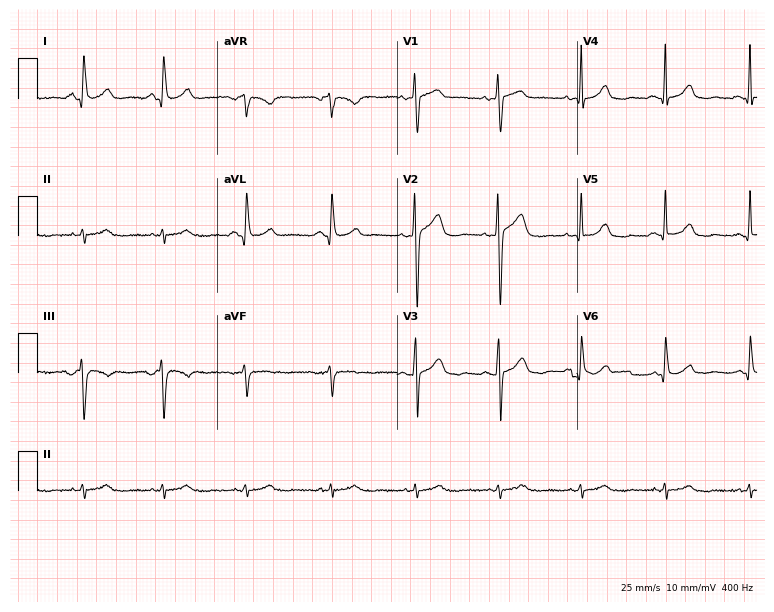
12-lead ECG (7.3-second recording at 400 Hz) from a 52-year-old female patient. Labelled as a normal ECG.